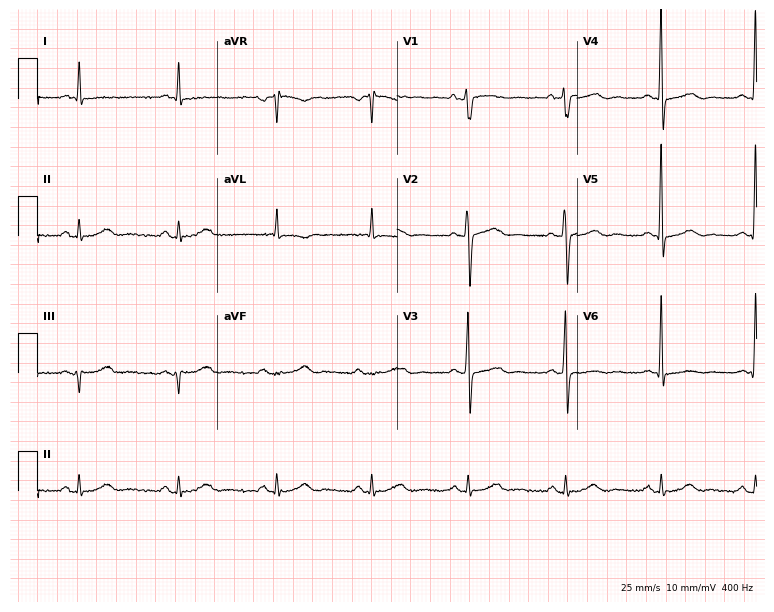
12-lead ECG from a 50-year-old male. Screened for six findings — first-degree AV block, right bundle branch block, left bundle branch block, sinus bradycardia, atrial fibrillation, sinus tachycardia — none is recorded.